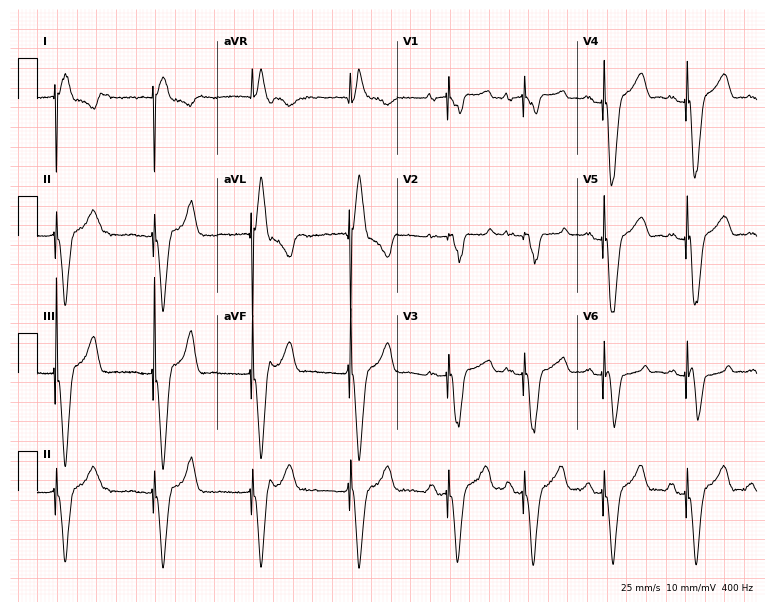
12-lead ECG from a woman, 69 years old. No first-degree AV block, right bundle branch block, left bundle branch block, sinus bradycardia, atrial fibrillation or sinus tachycardia recorded for this tracing. Only these six findings were labelled.